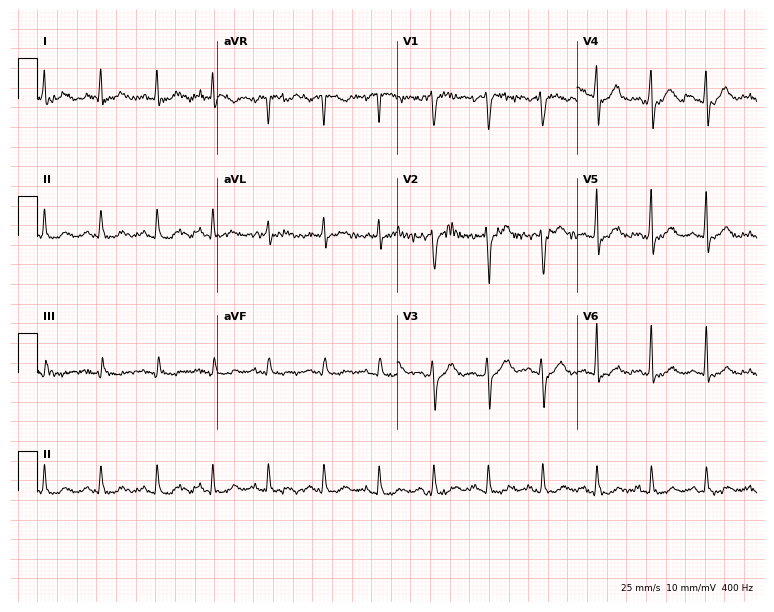
ECG (7.3-second recording at 400 Hz) — a male, 42 years old. Findings include sinus tachycardia (a sinus rate of 100 beats per minute or more).